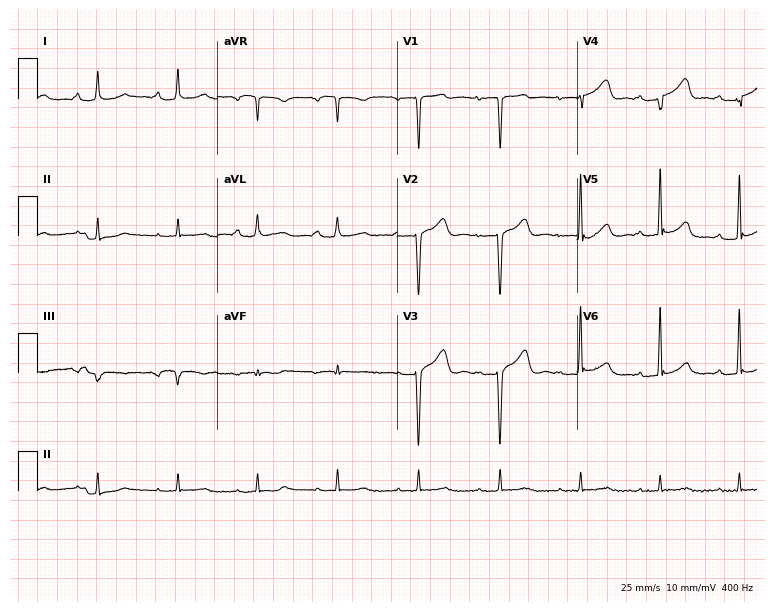
12-lead ECG from a male, 52 years old (7.3-second recording at 400 Hz). Recorded interpretation: within normal limits.